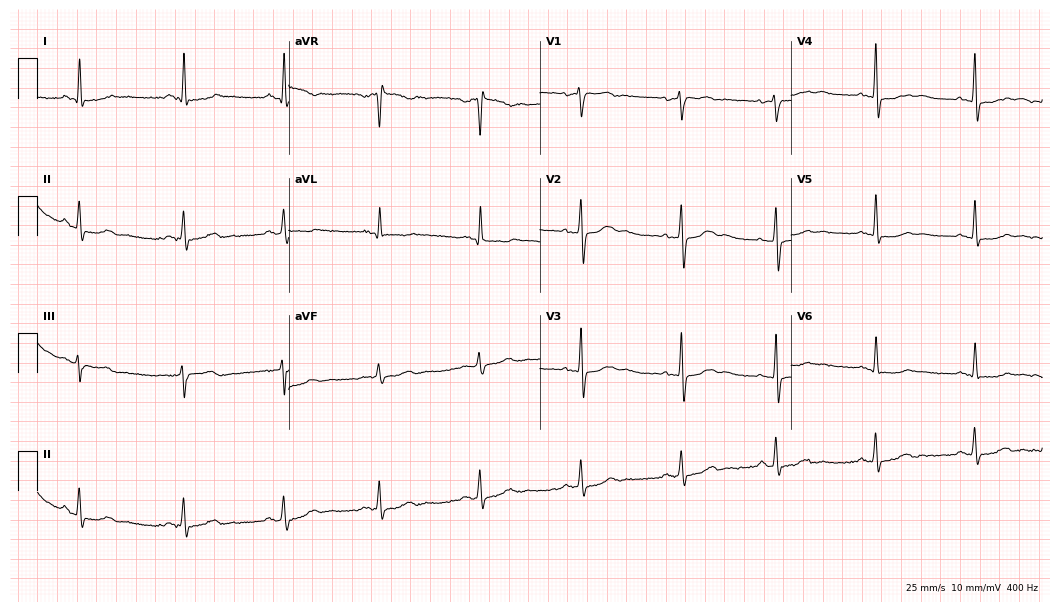
Electrocardiogram, a 52-year-old female patient. Overall reading on record: normal ECG.